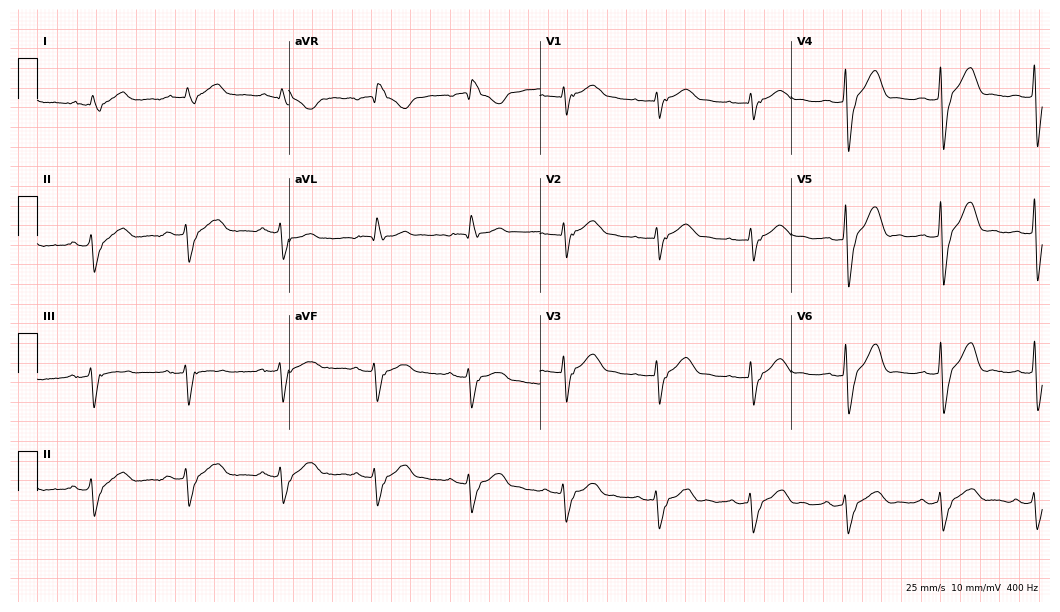
Electrocardiogram (10.2-second recording at 400 Hz), a man, 84 years old. Of the six screened findings (first-degree AV block, right bundle branch block, left bundle branch block, sinus bradycardia, atrial fibrillation, sinus tachycardia), none is recorded. Other findings, if any, are not listed.